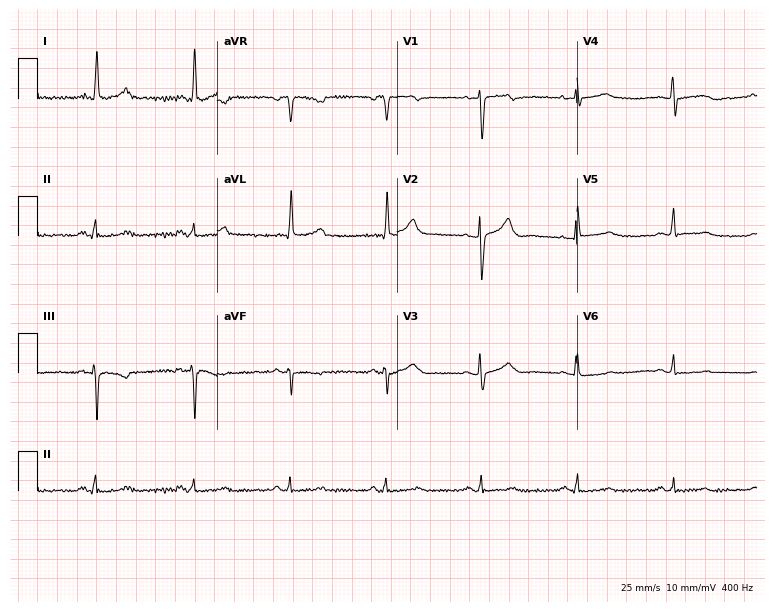
Standard 12-lead ECG recorded from a male patient, 65 years old (7.3-second recording at 400 Hz). None of these six findings is recorded: first-degree AV block, right bundle branch block, left bundle branch block, sinus bradycardia, atrial fibrillation, sinus tachycardia. Other findings, if any, are not listed.